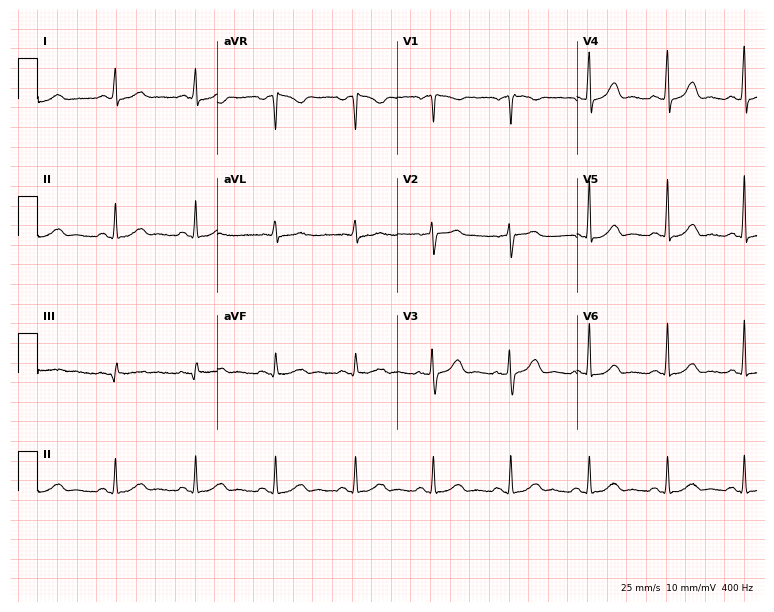
Resting 12-lead electrocardiogram (7.3-second recording at 400 Hz). Patient: a female, 60 years old. Read as a normal ECG.